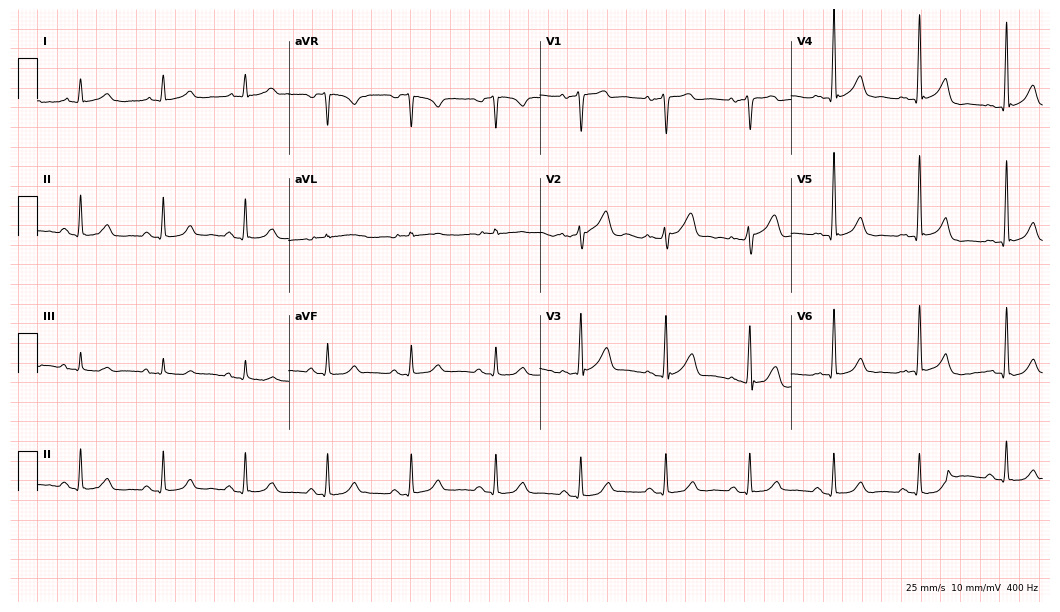
ECG (10.2-second recording at 400 Hz) — a 72-year-old male. Labelled as a normal ECG.